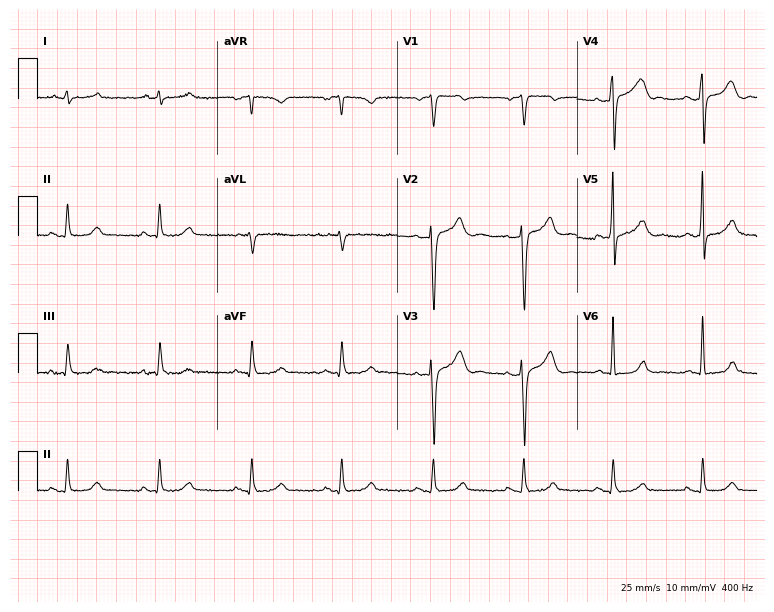
12-lead ECG from a man, 68 years old. Recorded interpretation: within normal limits.